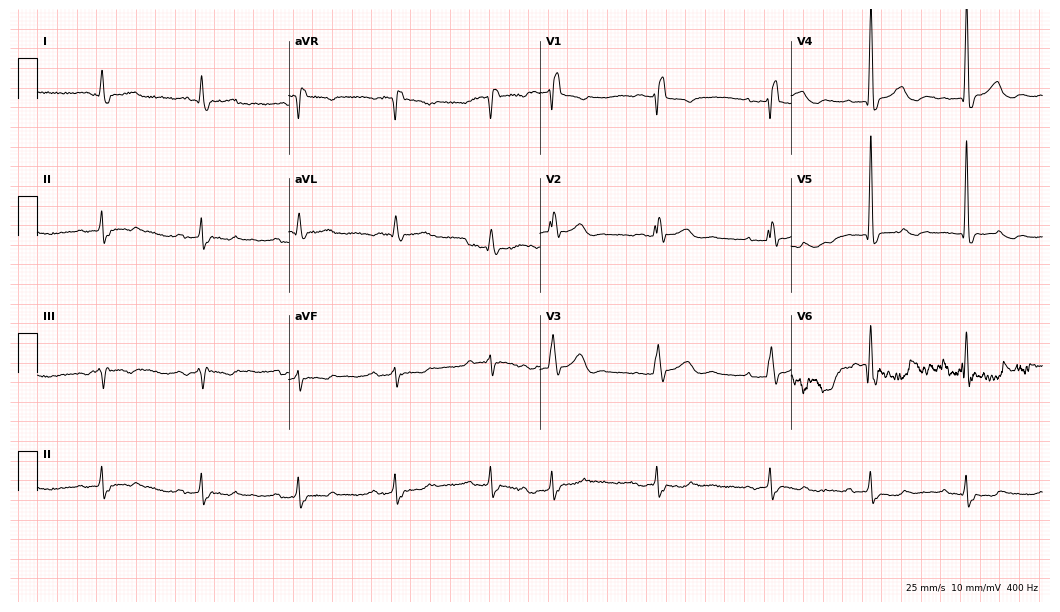
12-lead ECG from a male patient, 81 years old (10.2-second recording at 400 Hz). No first-degree AV block, right bundle branch block (RBBB), left bundle branch block (LBBB), sinus bradycardia, atrial fibrillation (AF) or sinus tachycardia recorded for this tracing.